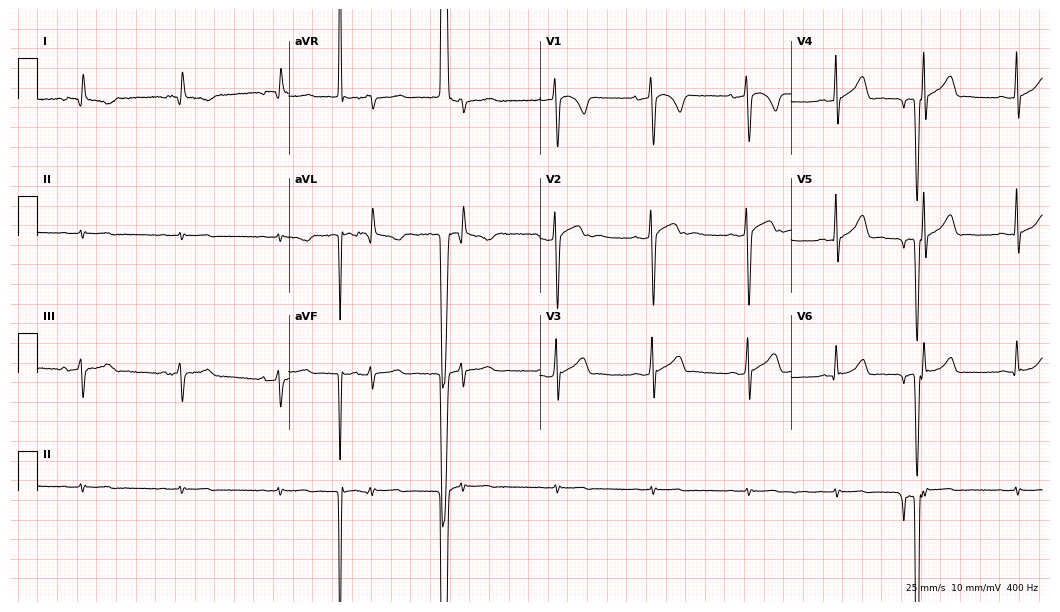
ECG — a male, 21 years old. Screened for six findings — first-degree AV block, right bundle branch block, left bundle branch block, sinus bradycardia, atrial fibrillation, sinus tachycardia — none is recorded.